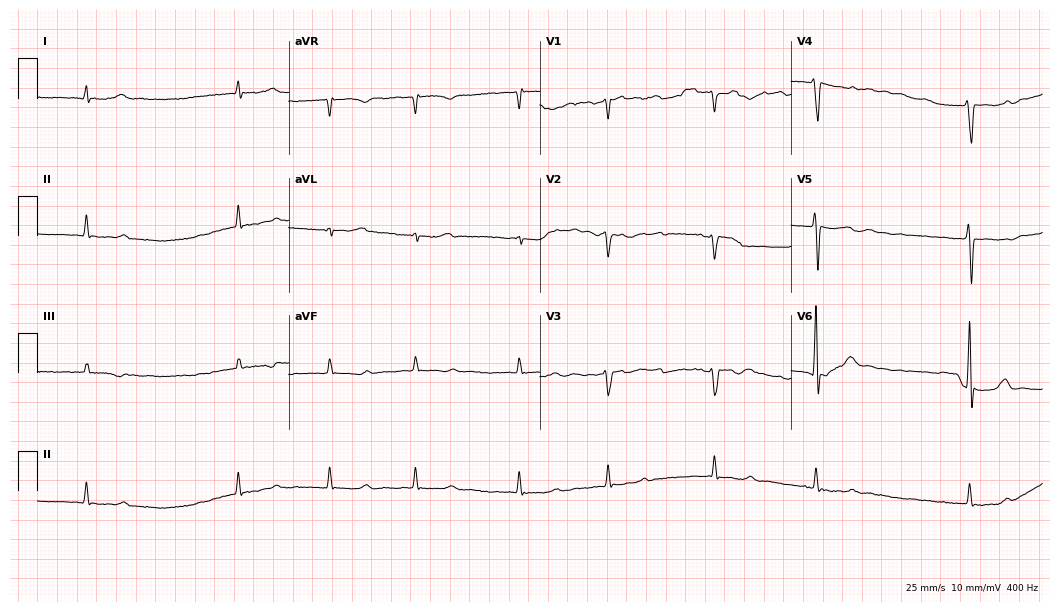
ECG — an 80-year-old man. Findings include atrial fibrillation.